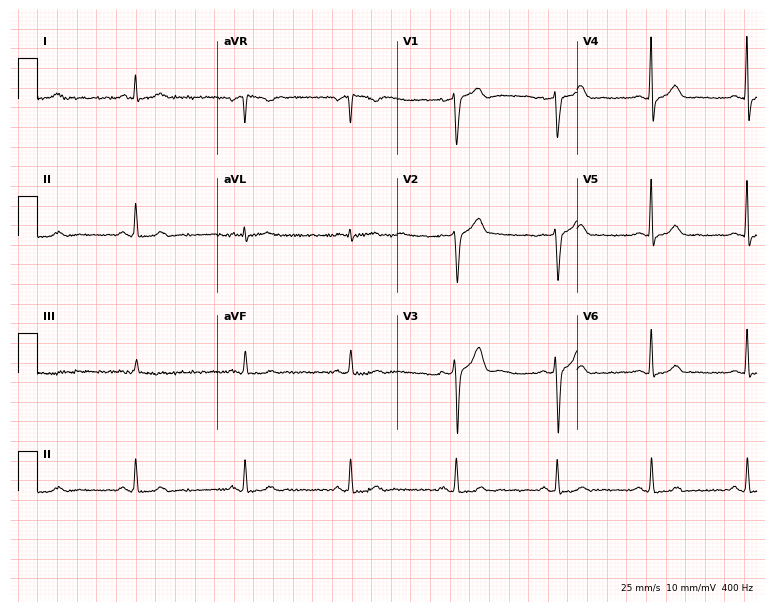
Standard 12-lead ECG recorded from a man, 51 years old. Read as a normal ECG.